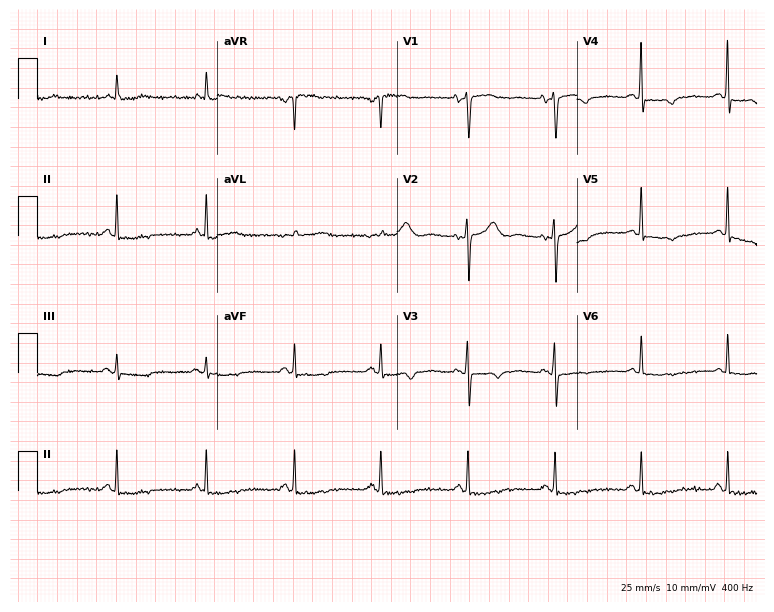
12-lead ECG from a female, 87 years old. No first-degree AV block, right bundle branch block, left bundle branch block, sinus bradycardia, atrial fibrillation or sinus tachycardia recorded for this tracing.